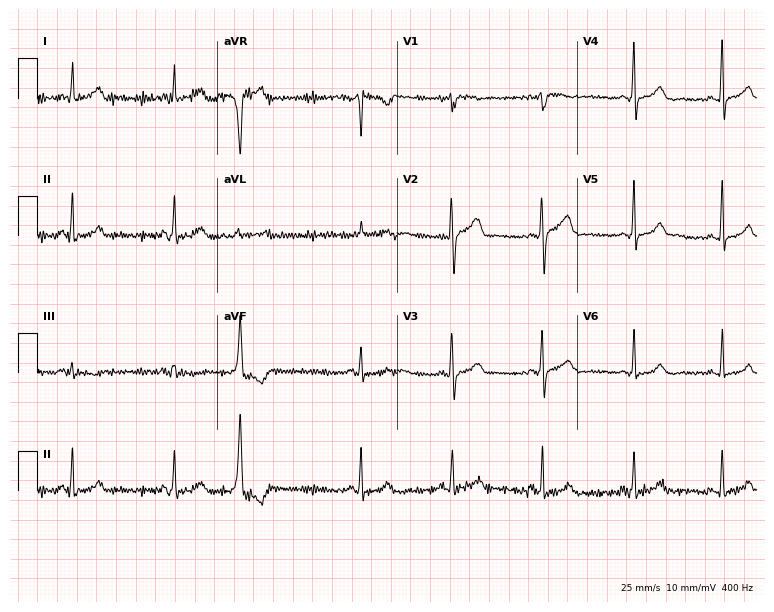
12-lead ECG (7.3-second recording at 400 Hz) from a female, 44 years old. Screened for six findings — first-degree AV block, right bundle branch block, left bundle branch block, sinus bradycardia, atrial fibrillation, sinus tachycardia — none is recorded.